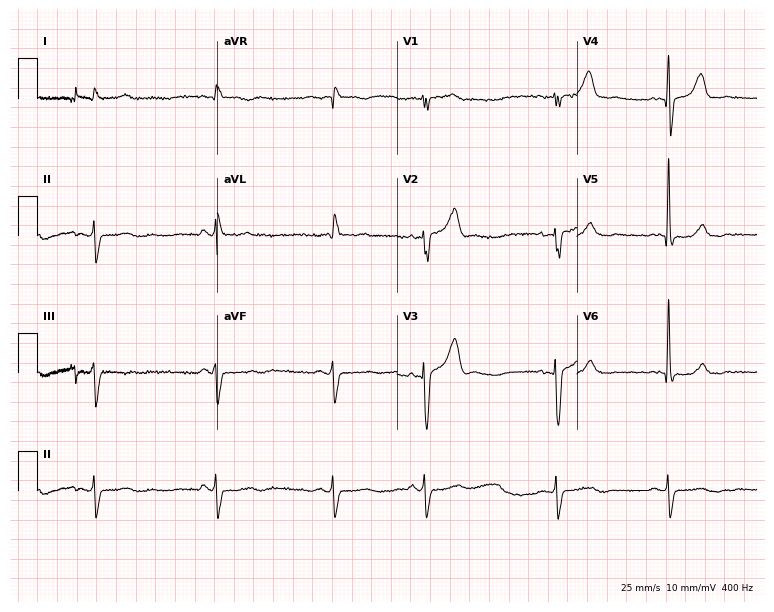
12-lead ECG (7.3-second recording at 400 Hz) from an 83-year-old man. Screened for six findings — first-degree AV block, right bundle branch block, left bundle branch block, sinus bradycardia, atrial fibrillation, sinus tachycardia — none is recorded. Findings outside these six are not listed.